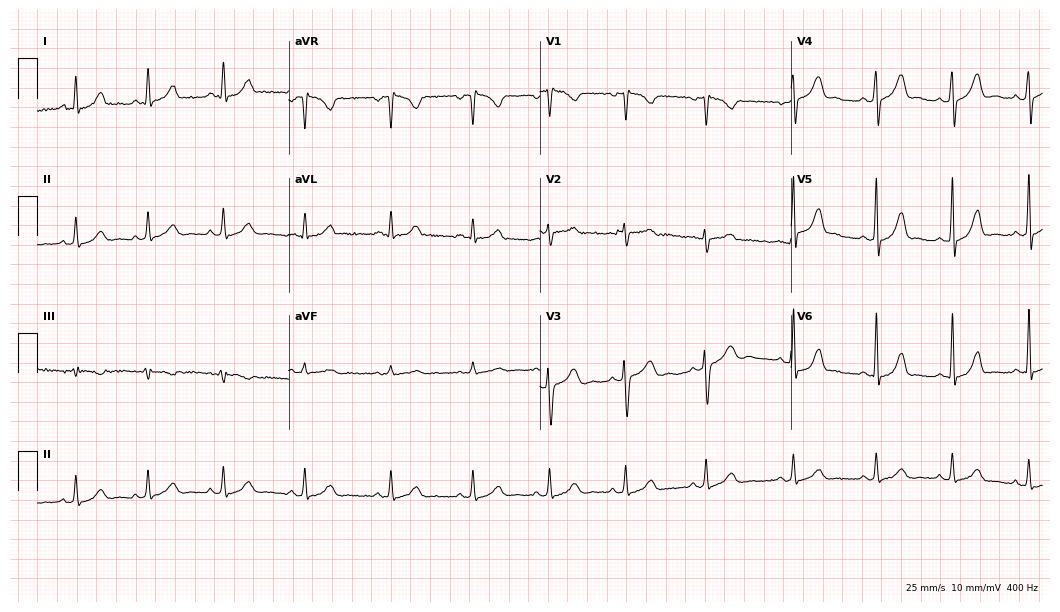
12-lead ECG from a 27-year-old female. Recorded interpretation: within normal limits.